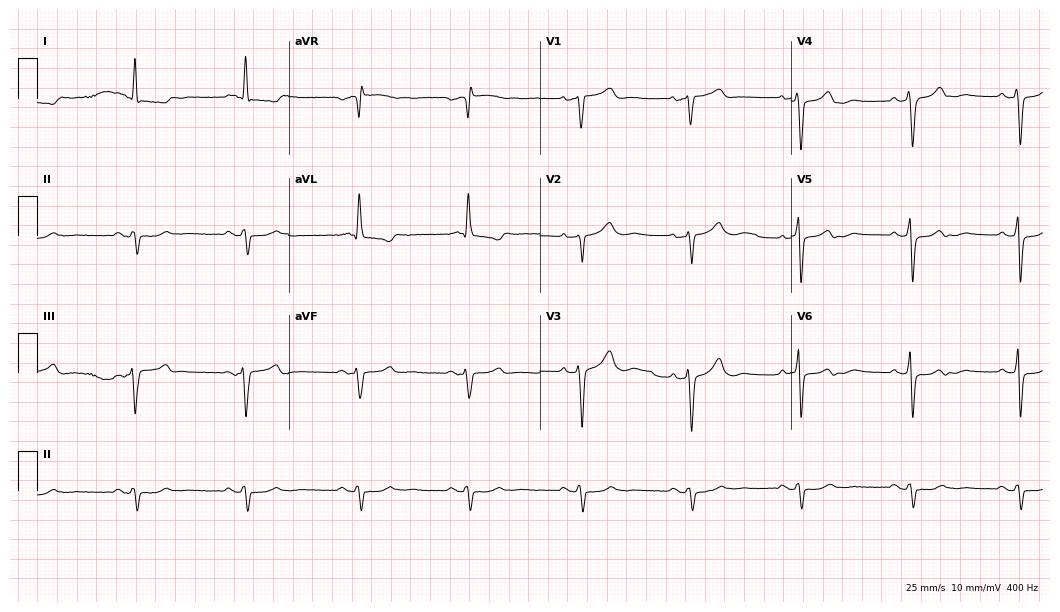
12-lead ECG from a 76-year-old female. Shows left bundle branch block.